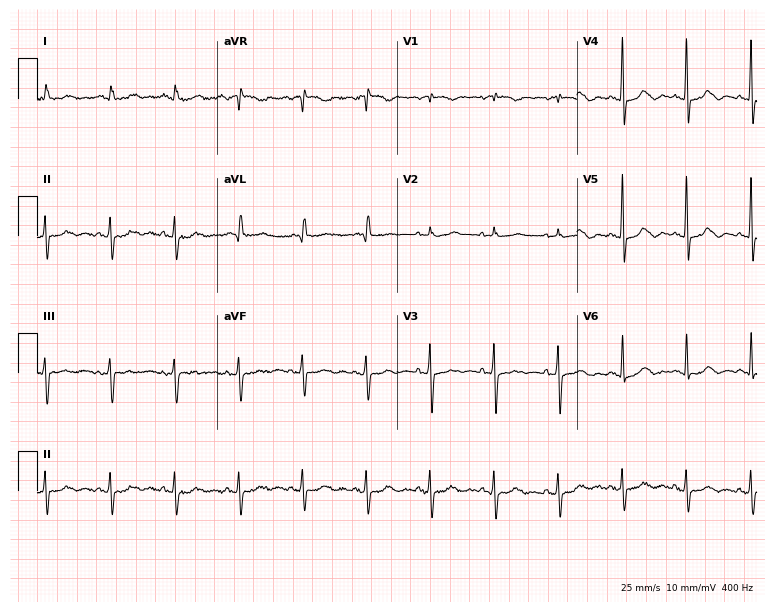
12-lead ECG from a 69-year-old female patient. Screened for six findings — first-degree AV block, right bundle branch block (RBBB), left bundle branch block (LBBB), sinus bradycardia, atrial fibrillation (AF), sinus tachycardia — none is recorded.